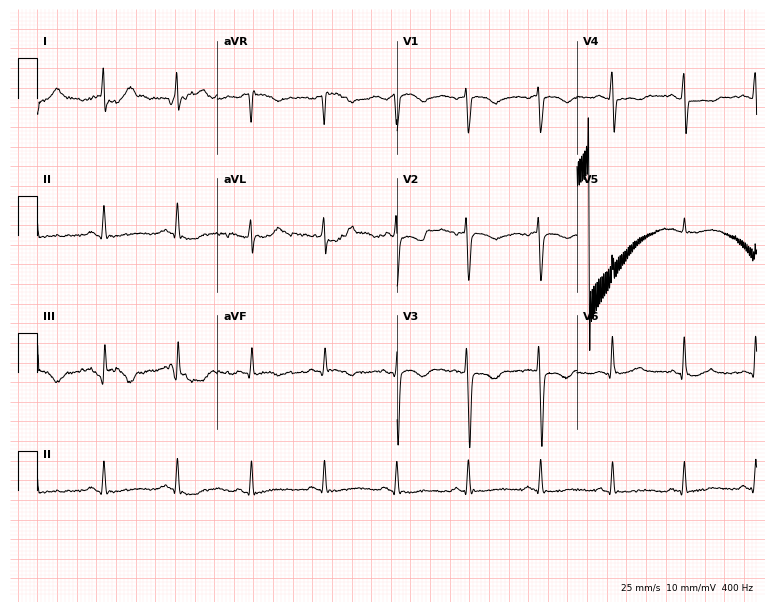
12-lead ECG from a female, 36 years old (7.3-second recording at 400 Hz). No first-degree AV block, right bundle branch block, left bundle branch block, sinus bradycardia, atrial fibrillation or sinus tachycardia recorded for this tracing. Findings outside these six are not listed.